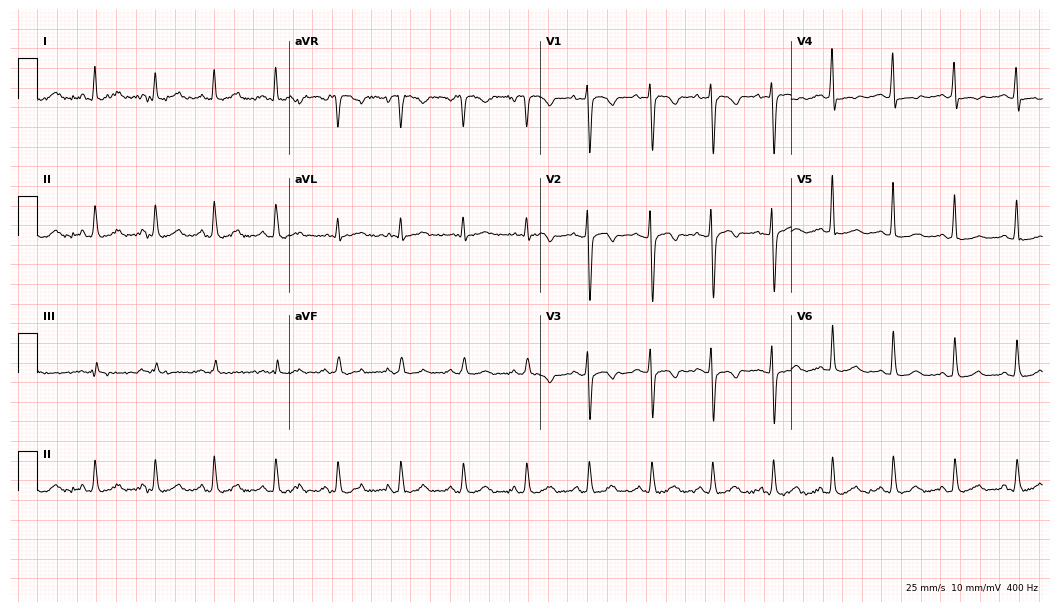
12-lead ECG from a female, 34 years old. No first-degree AV block, right bundle branch block, left bundle branch block, sinus bradycardia, atrial fibrillation or sinus tachycardia recorded for this tracing. Only these six findings were labelled.